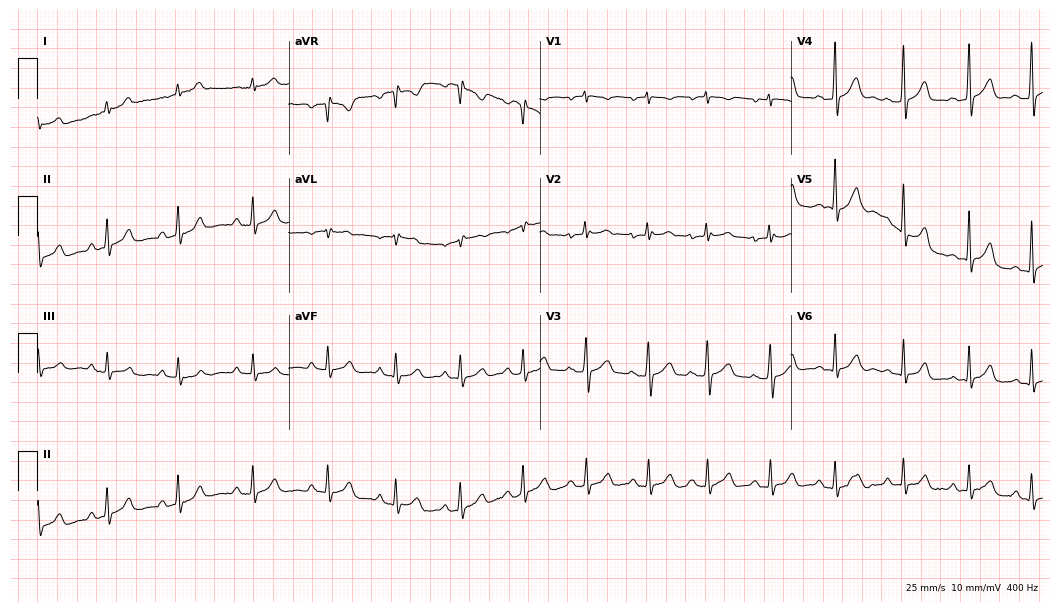
12-lead ECG from a female, 33 years old. No first-degree AV block, right bundle branch block, left bundle branch block, sinus bradycardia, atrial fibrillation or sinus tachycardia recorded for this tracing.